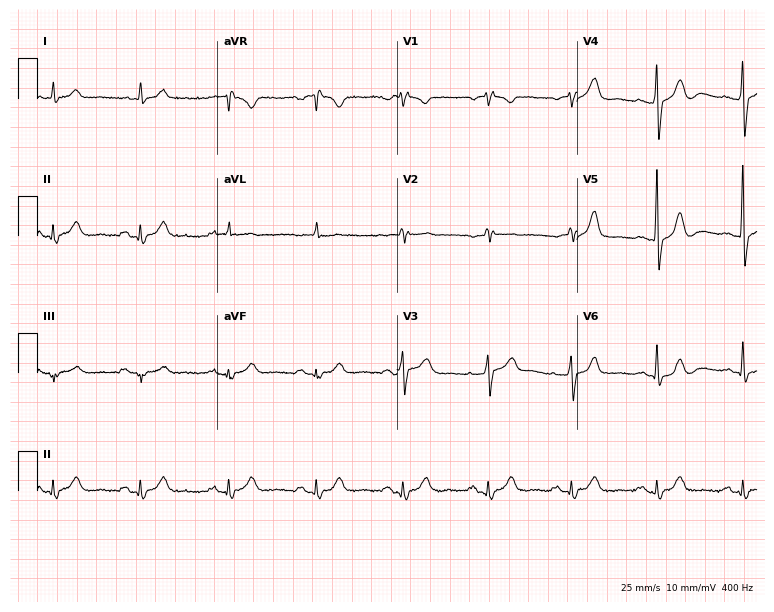
Standard 12-lead ECG recorded from a male patient, 71 years old. None of these six findings is recorded: first-degree AV block, right bundle branch block (RBBB), left bundle branch block (LBBB), sinus bradycardia, atrial fibrillation (AF), sinus tachycardia.